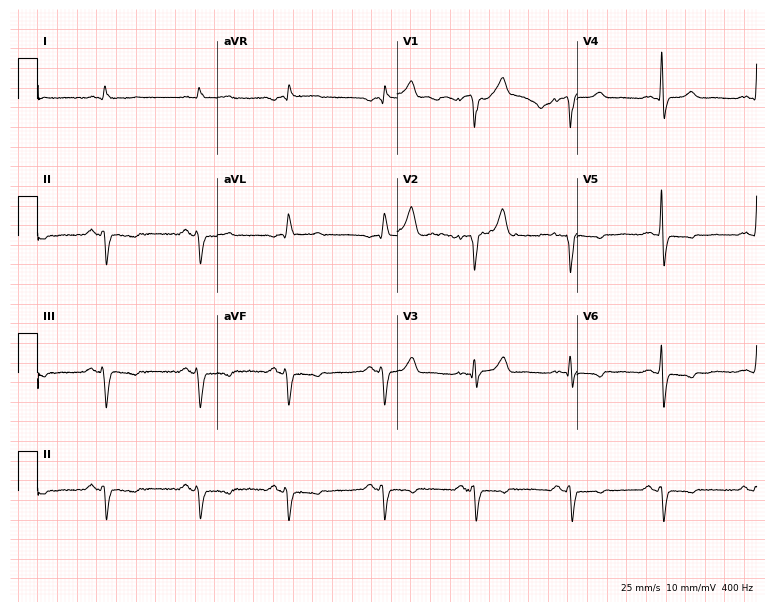
Standard 12-lead ECG recorded from a 68-year-old male patient (7.3-second recording at 400 Hz). None of these six findings is recorded: first-degree AV block, right bundle branch block, left bundle branch block, sinus bradycardia, atrial fibrillation, sinus tachycardia.